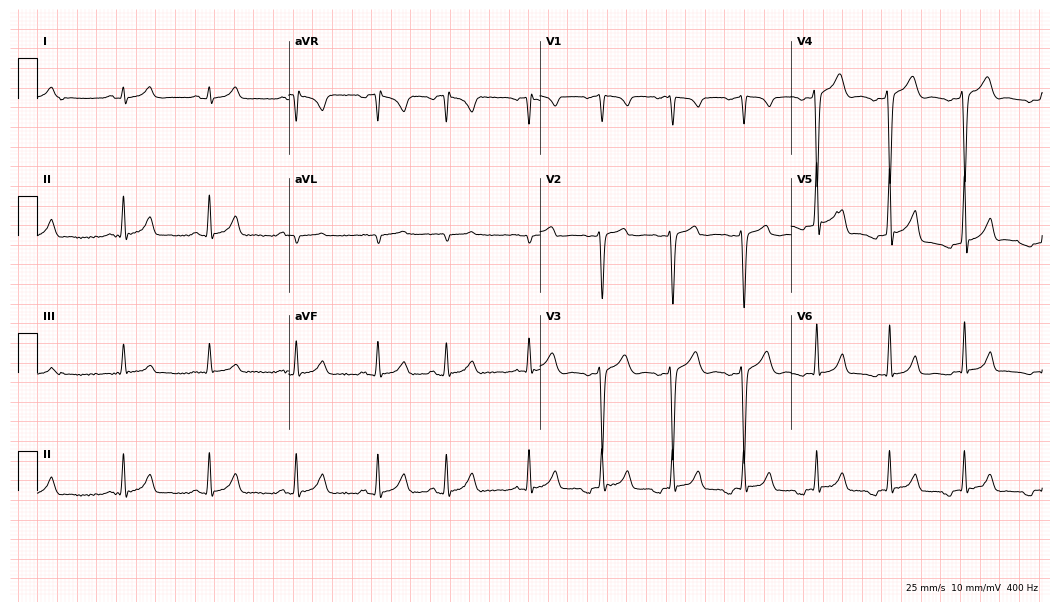
ECG (10.2-second recording at 400 Hz) — a 24-year-old male patient. Screened for six findings — first-degree AV block, right bundle branch block, left bundle branch block, sinus bradycardia, atrial fibrillation, sinus tachycardia — none is recorded.